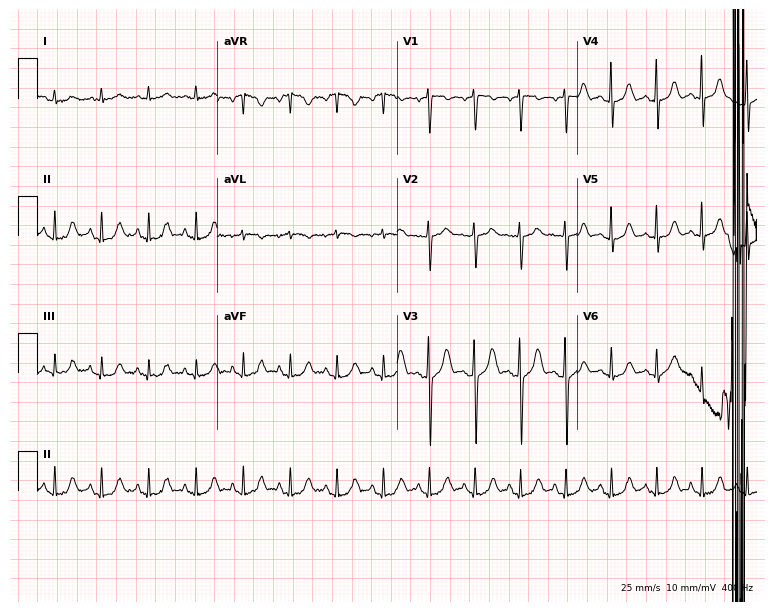
Electrocardiogram (7.3-second recording at 400 Hz), a female patient, 50 years old. Of the six screened findings (first-degree AV block, right bundle branch block (RBBB), left bundle branch block (LBBB), sinus bradycardia, atrial fibrillation (AF), sinus tachycardia), none is recorded. Findings outside these six are not listed.